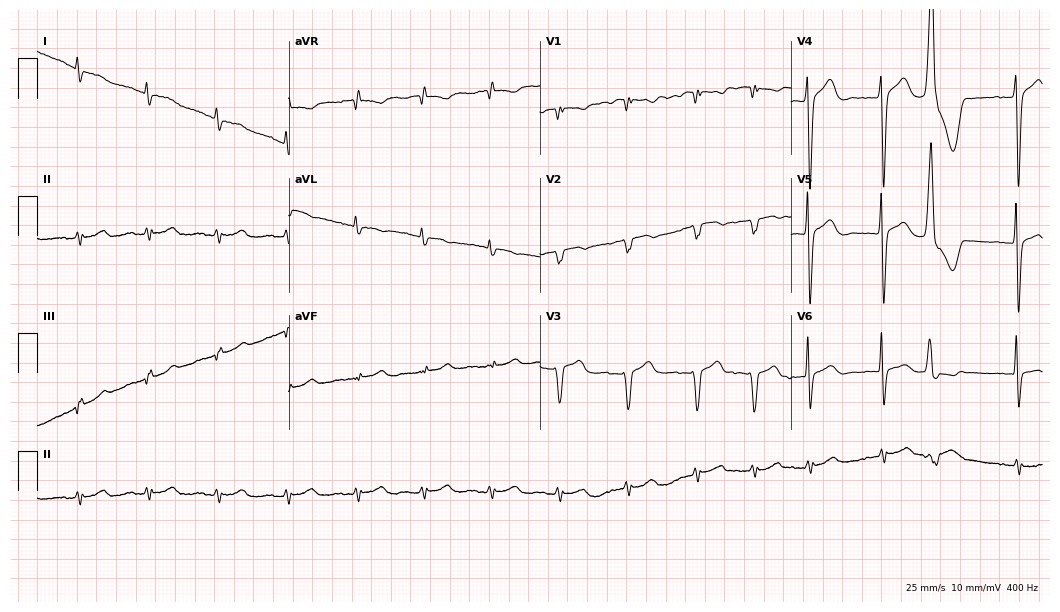
12-lead ECG (10.2-second recording at 400 Hz) from a 75-year-old male. Screened for six findings — first-degree AV block, right bundle branch block (RBBB), left bundle branch block (LBBB), sinus bradycardia, atrial fibrillation (AF), sinus tachycardia — none is recorded. Other findings, if any, are not listed.